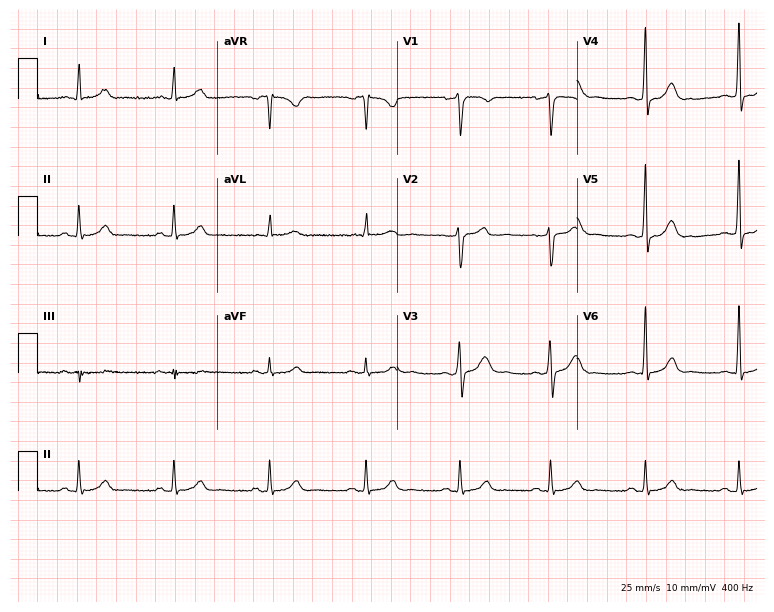
12-lead ECG from a male patient, 42 years old. Labelled as a normal ECG.